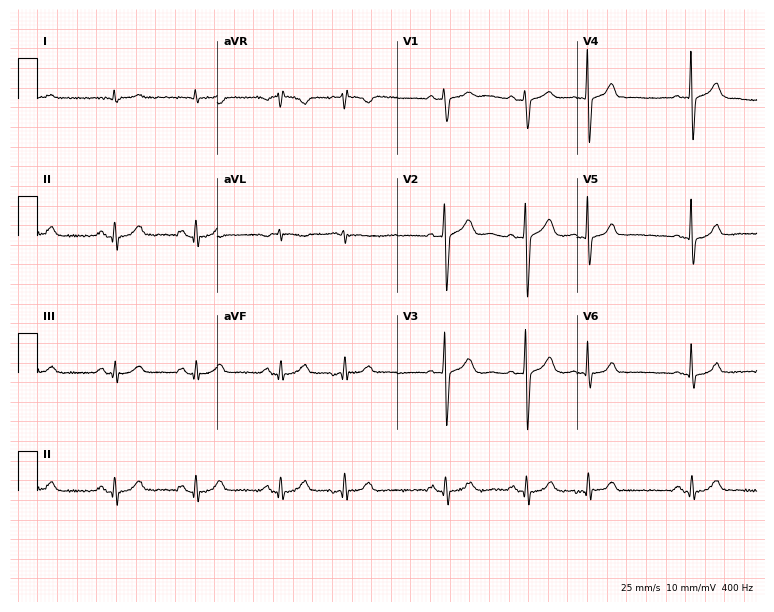
Standard 12-lead ECG recorded from a 68-year-old male. None of these six findings is recorded: first-degree AV block, right bundle branch block, left bundle branch block, sinus bradycardia, atrial fibrillation, sinus tachycardia. Only these six findings were labelled.